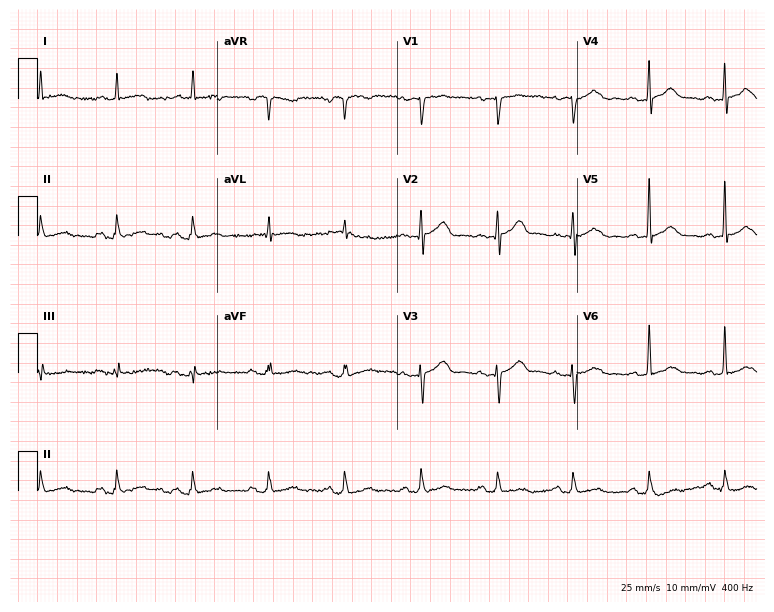
Resting 12-lead electrocardiogram (7.3-second recording at 400 Hz). Patient: a male, 77 years old. None of these six findings is recorded: first-degree AV block, right bundle branch block, left bundle branch block, sinus bradycardia, atrial fibrillation, sinus tachycardia. Findings outside these six are not listed.